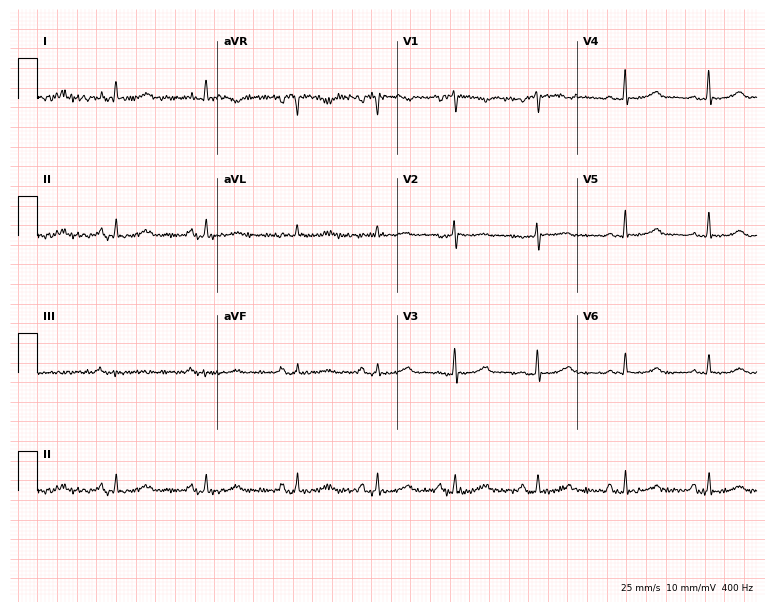
12-lead ECG (7.3-second recording at 400 Hz) from a female, 47 years old. Screened for six findings — first-degree AV block, right bundle branch block, left bundle branch block, sinus bradycardia, atrial fibrillation, sinus tachycardia — none is recorded. Other findings, if any, are not listed.